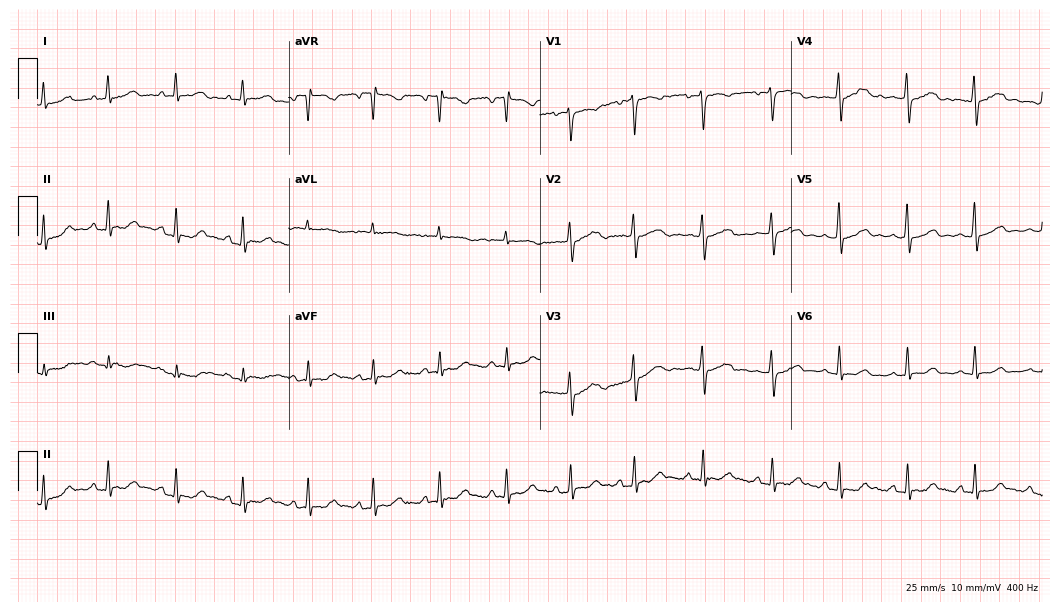
Standard 12-lead ECG recorded from a 25-year-old female (10.2-second recording at 400 Hz). Read as a normal ECG.